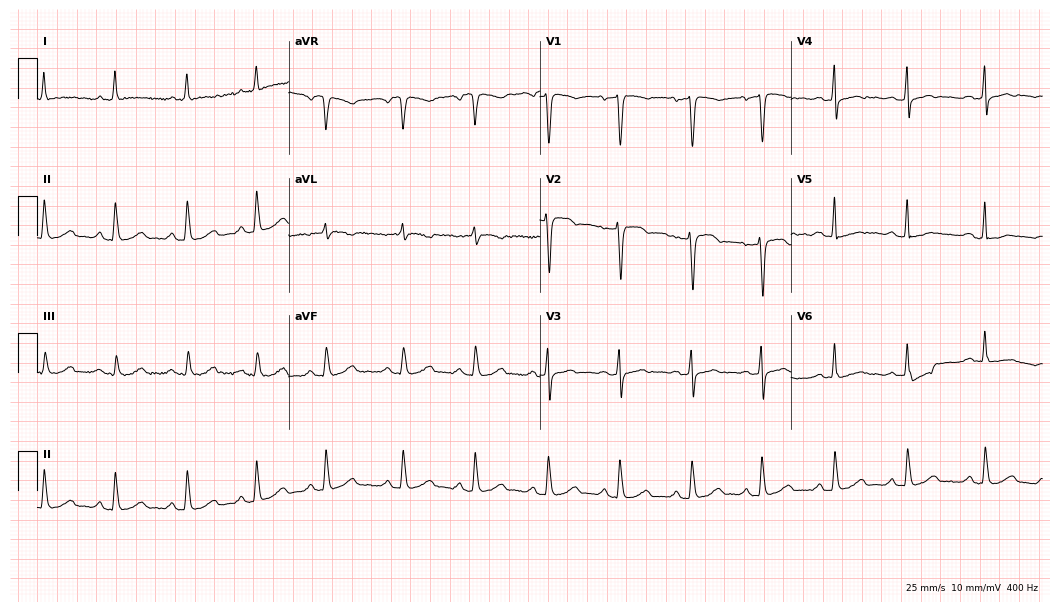
ECG (10.2-second recording at 400 Hz) — a female patient, 41 years old. Screened for six findings — first-degree AV block, right bundle branch block (RBBB), left bundle branch block (LBBB), sinus bradycardia, atrial fibrillation (AF), sinus tachycardia — none is recorded. Only these six findings were labelled.